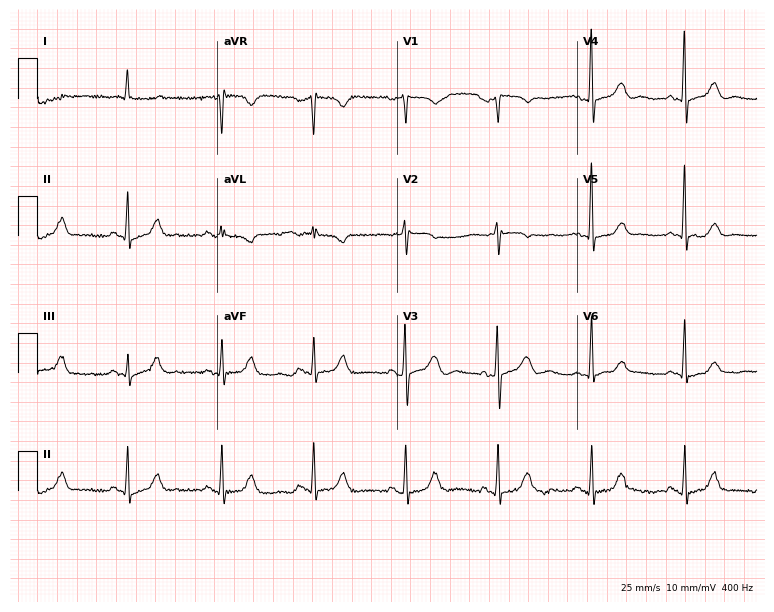
Electrocardiogram (7.3-second recording at 400 Hz), an 80-year-old female patient. Of the six screened findings (first-degree AV block, right bundle branch block (RBBB), left bundle branch block (LBBB), sinus bradycardia, atrial fibrillation (AF), sinus tachycardia), none is recorded. Only these six findings were labelled.